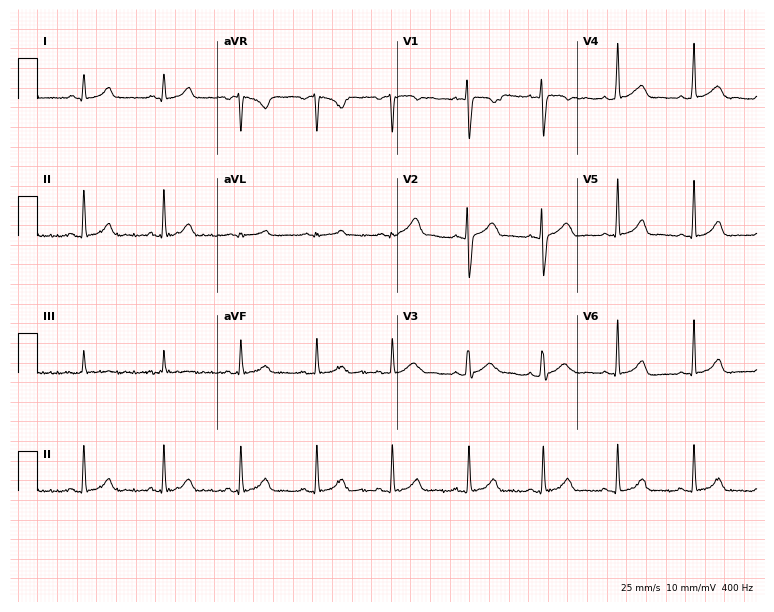
ECG (7.3-second recording at 400 Hz) — a 26-year-old woman. Labelled as a normal ECG.